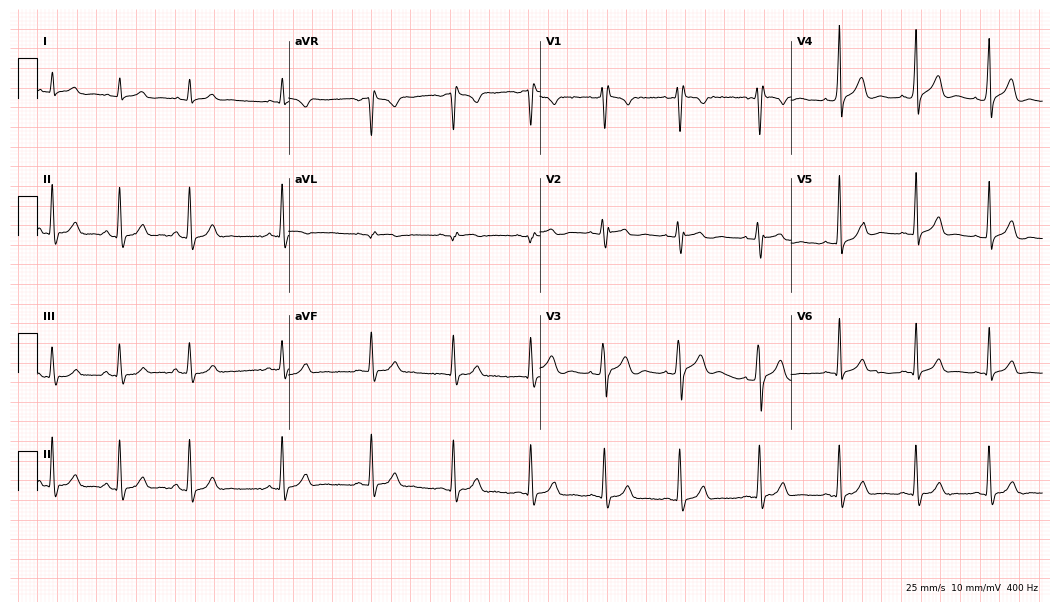
ECG — a male, 18 years old. Screened for six findings — first-degree AV block, right bundle branch block, left bundle branch block, sinus bradycardia, atrial fibrillation, sinus tachycardia — none is recorded.